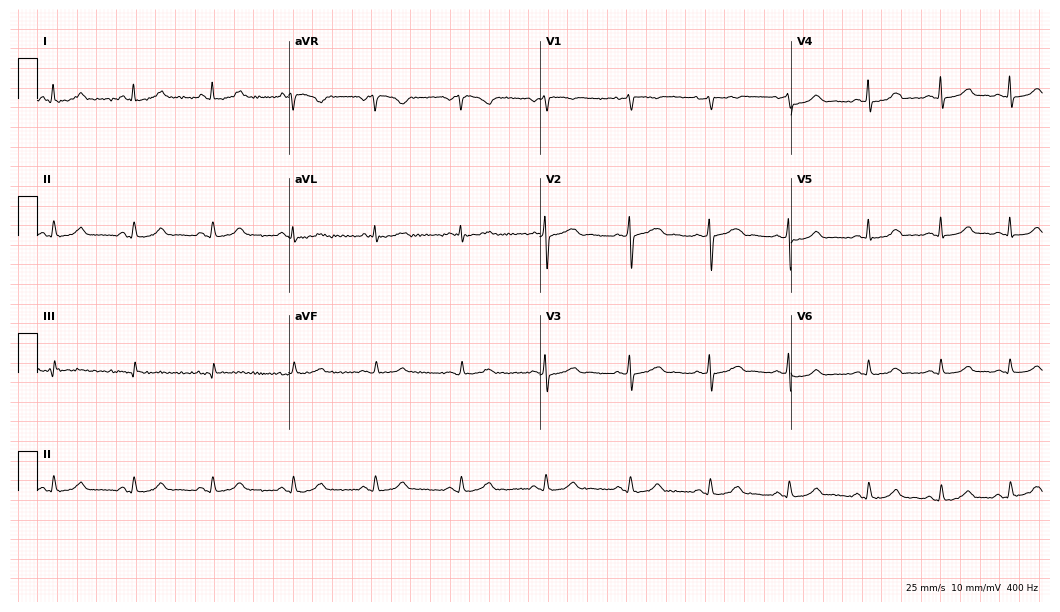
Standard 12-lead ECG recorded from a 42-year-old woman (10.2-second recording at 400 Hz). Read as a normal ECG.